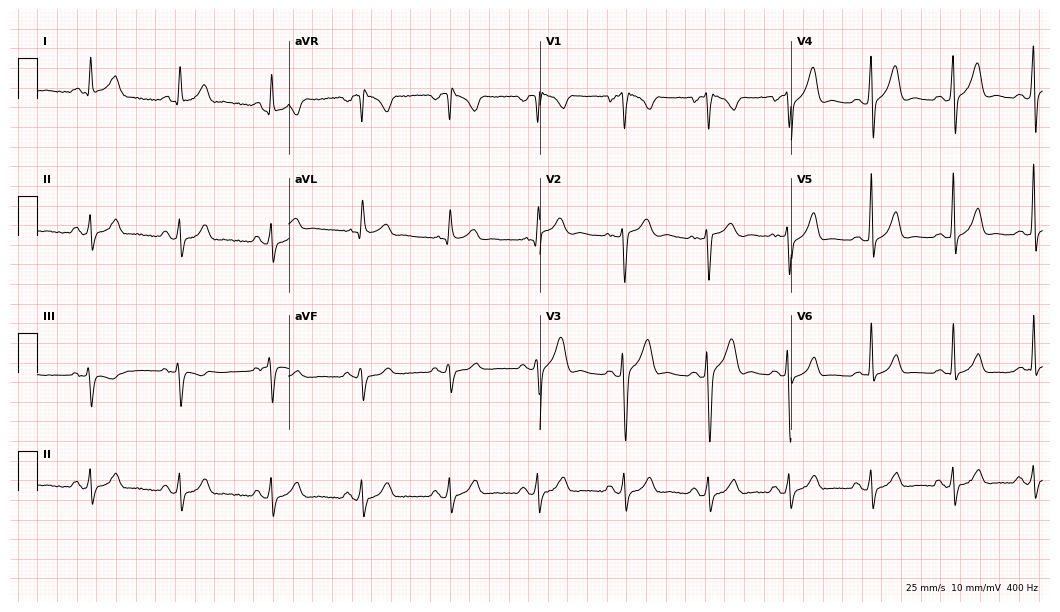
12-lead ECG from a man, 23 years old (10.2-second recording at 400 Hz). No first-degree AV block, right bundle branch block, left bundle branch block, sinus bradycardia, atrial fibrillation or sinus tachycardia recorded for this tracing. Findings outside these six are not listed.